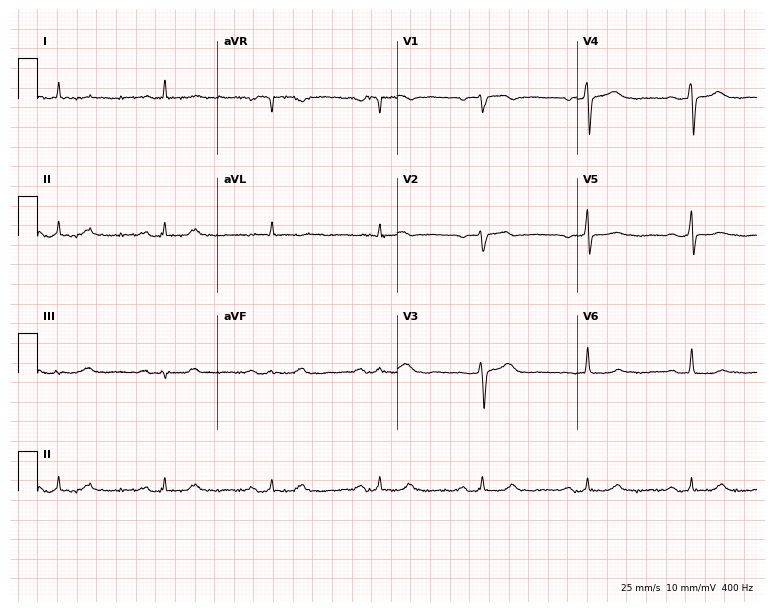
ECG — a female patient, 74 years old. Screened for six findings — first-degree AV block, right bundle branch block, left bundle branch block, sinus bradycardia, atrial fibrillation, sinus tachycardia — none is recorded.